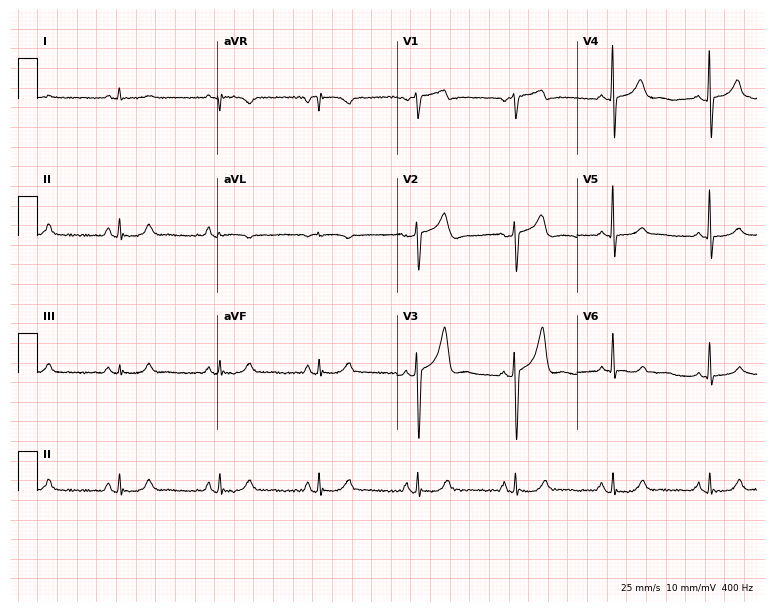
Electrocardiogram, a male patient, 70 years old. Of the six screened findings (first-degree AV block, right bundle branch block (RBBB), left bundle branch block (LBBB), sinus bradycardia, atrial fibrillation (AF), sinus tachycardia), none is recorded.